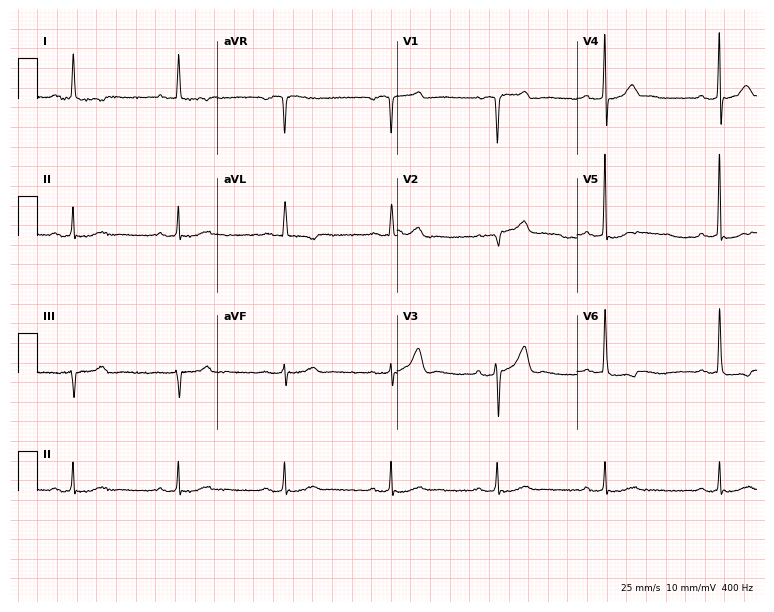
Electrocardiogram (7.3-second recording at 400 Hz), a female, 70 years old. Of the six screened findings (first-degree AV block, right bundle branch block (RBBB), left bundle branch block (LBBB), sinus bradycardia, atrial fibrillation (AF), sinus tachycardia), none is recorded. Only these six findings were labelled.